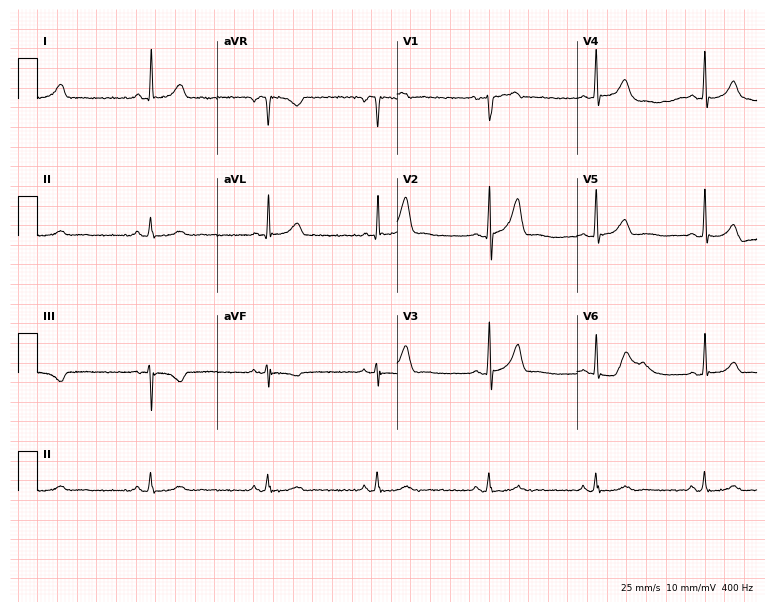
ECG (7.3-second recording at 400 Hz) — a man, 49 years old. Labelled as a normal ECG.